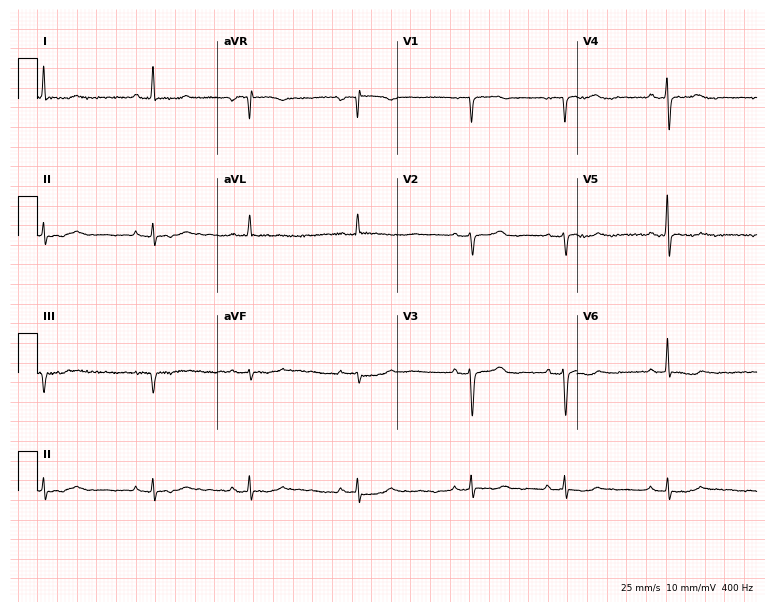
Resting 12-lead electrocardiogram. Patient: an 80-year-old female. None of these six findings is recorded: first-degree AV block, right bundle branch block, left bundle branch block, sinus bradycardia, atrial fibrillation, sinus tachycardia. Only these six findings were labelled.